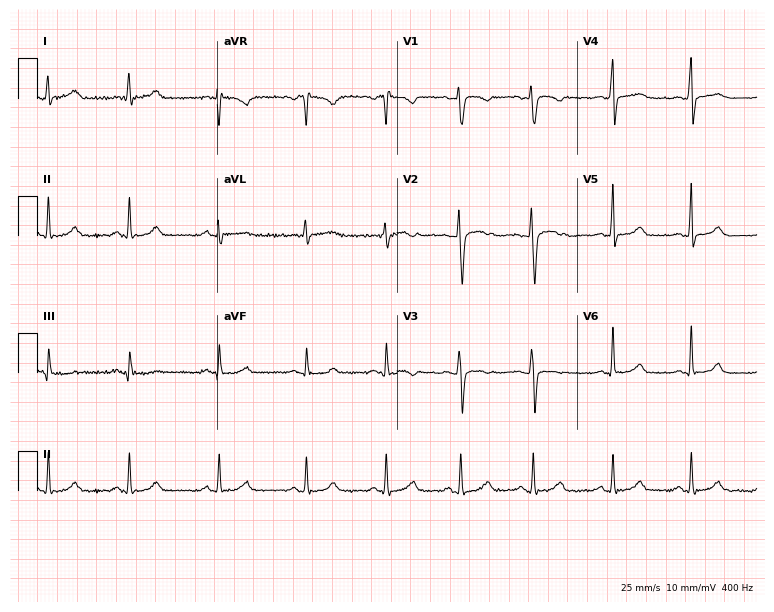
12-lead ECG (7.3-second recording at 400 Hz) from a female, 32 years old. Screened for six findings — first-degree AV block, right bundle branch block, left bundle branch block, sinus bradycardia, atrial fibrillation, sinus tachycardia — none is recorded. Other findings, if any, are not listed.